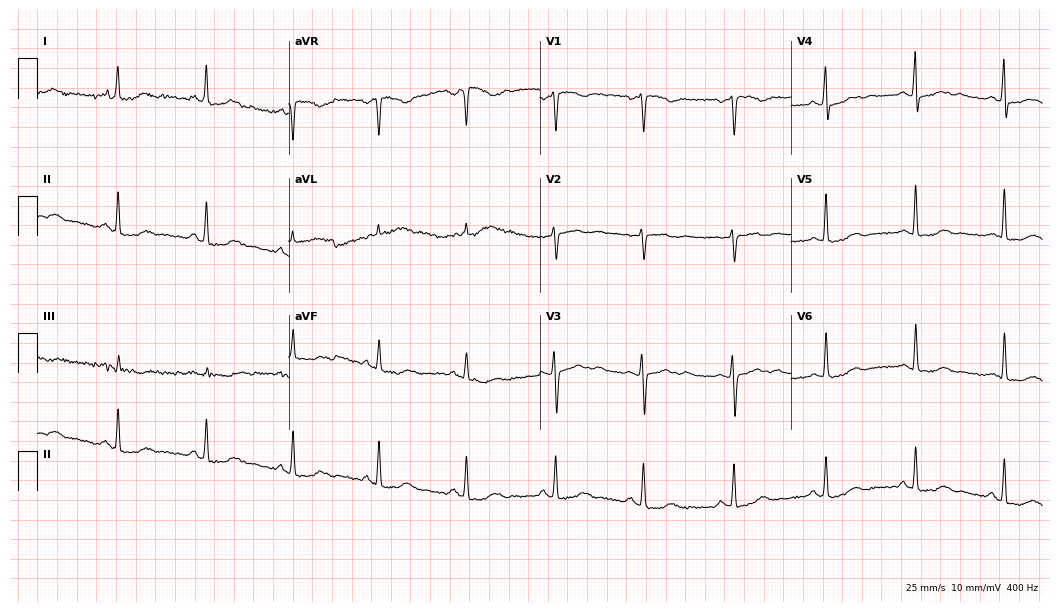
Standard 12-lead ECG recorded from a woman, 49 years old (10.2-second recording at 400 Hz). None of these six findings is recorded: first-degree AV block, right bundle branch block, left bundle branch block, sinus bradycardia, atrial fibrillation, sinus tachycardia. Findings outside these six are not listed.